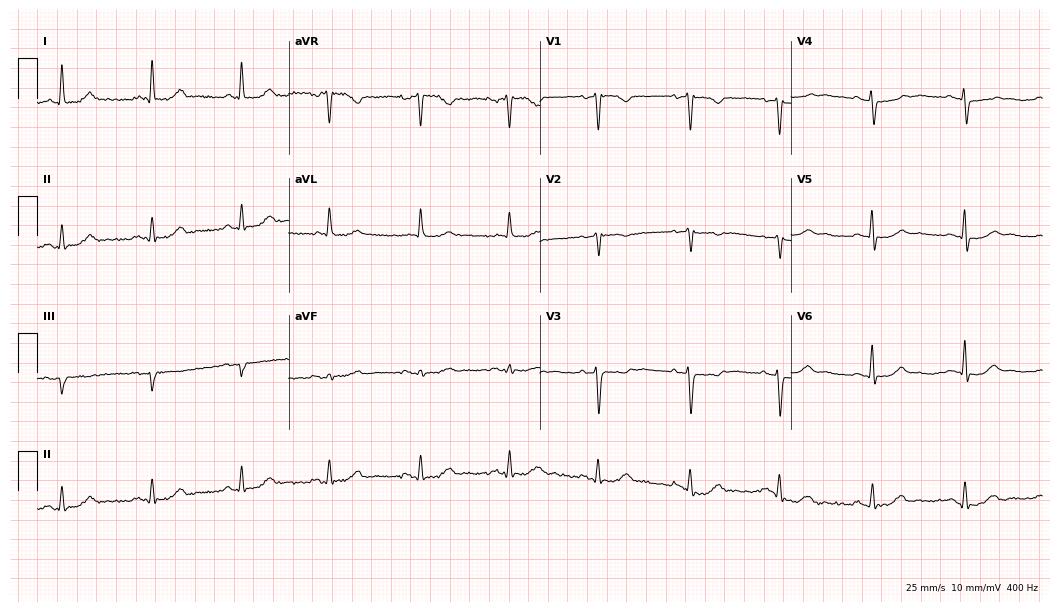
12-lead ECG from a female patient, 55 years old (10.2-second recording at 400 Hz). No first-degree AV block, right bundle branch block, left bundle branch block, sinus bradycardia, atrial fibrillation or sinus tachycardia recorded for this tracing.